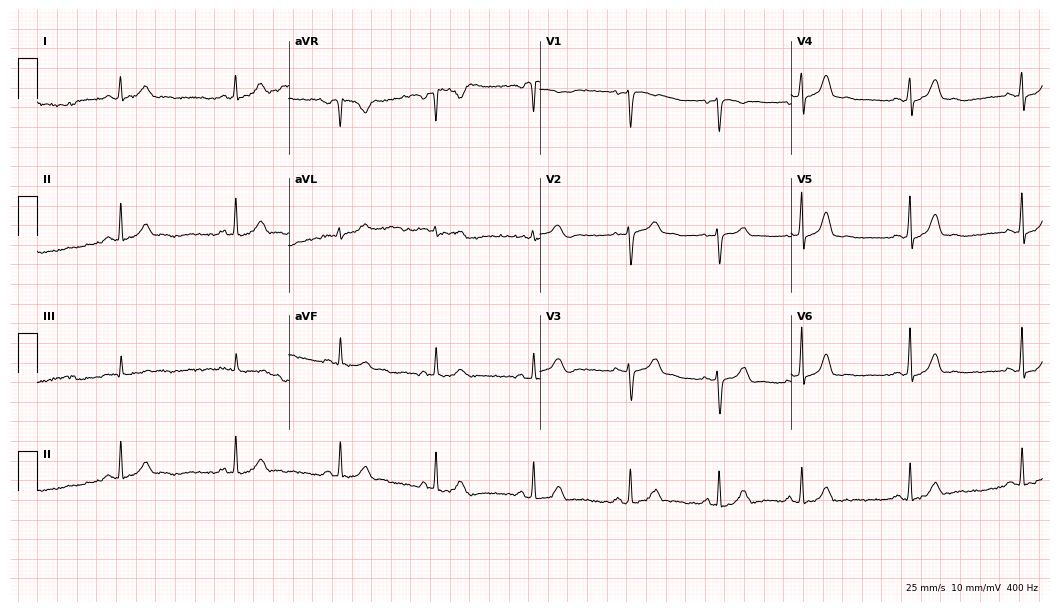
Resting 12-lead electrocardiogram (10.2-second recording at 400 Hz). Patient: a woman, 39 years old. Read as a normal ECG.